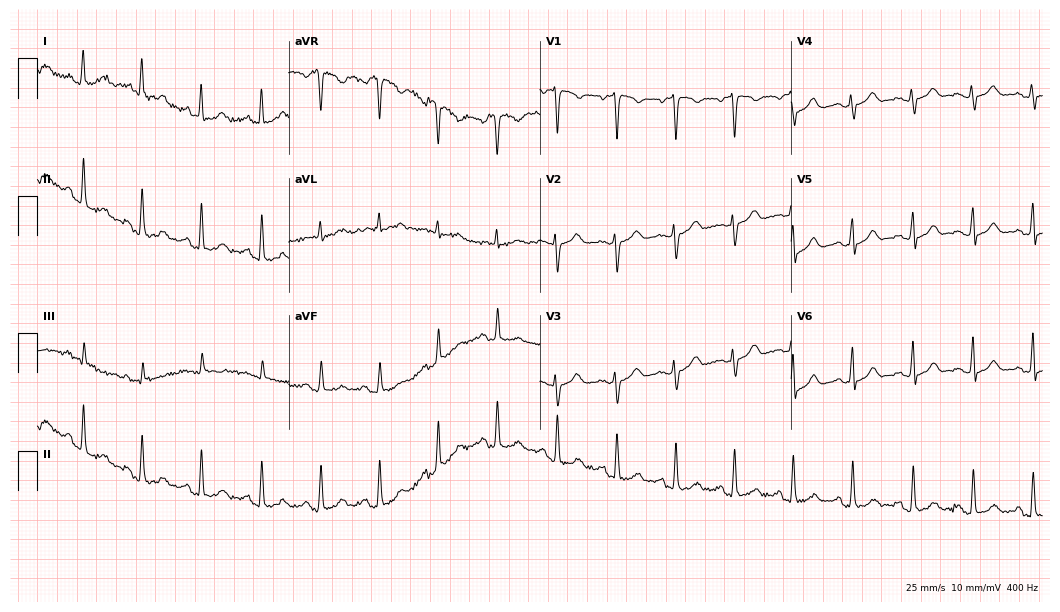
12-lead ECG from a 20-year-old female patient. Recorded interpretation: within normal limits.